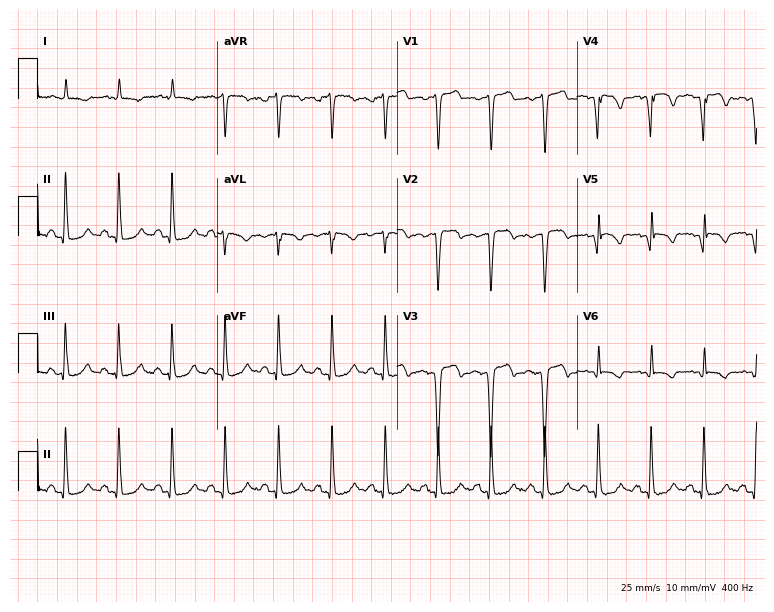
Resting 12-lead electrocardiogram (7.3-second recording at 400 Hz). Patient: a man, 75 years old. The tracing shows sinus tachycardia (a sinus rate of 100 beats per minute or more).